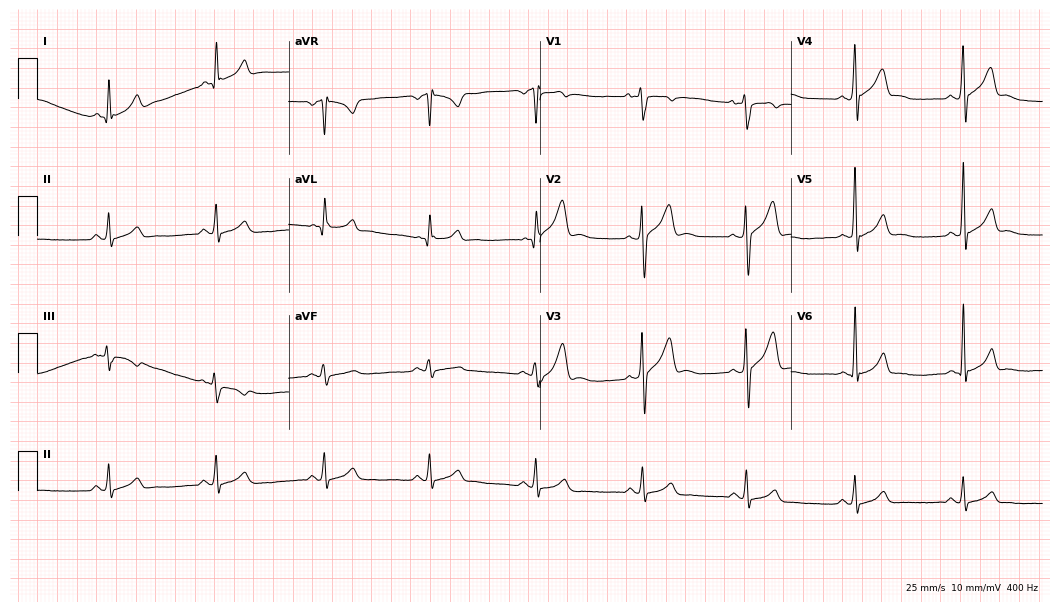
12-lead ECG from a male patient, 34 years old (10.2-second recording at 400 Hz). Recorded interpretation: within normal limits.